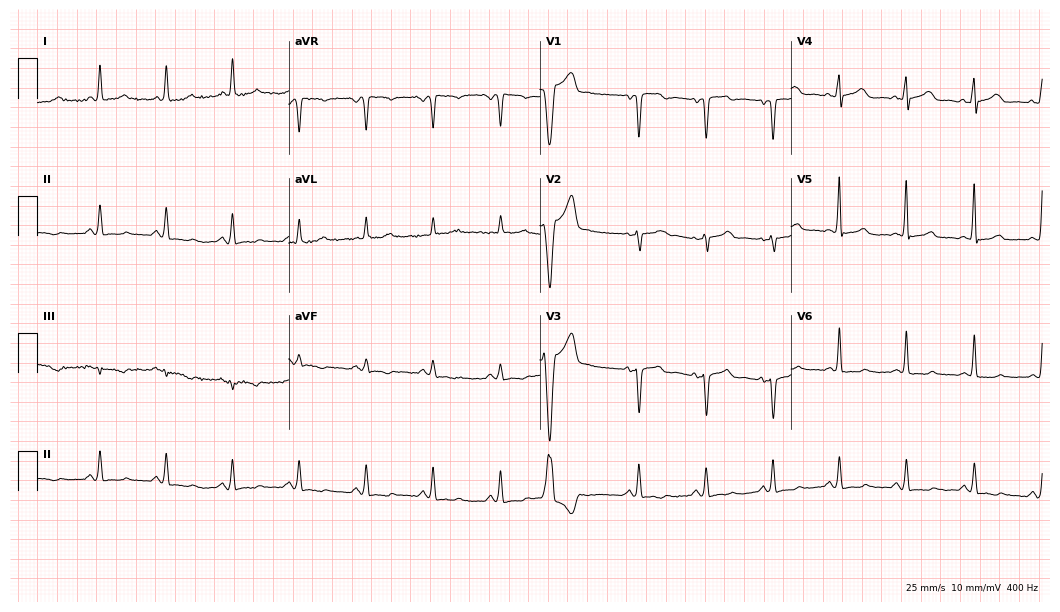
Standard 12-lead ECG recorded from a female patient, 55 years old (10.2-second recording at 400 Hz). None of these six findings is recorded: first-degree AV block, right bundle branch block, left bundle branch block, sinus bradycardia, atrial fibrillation, sinus tachycardia. Findings outside these six are not listed.